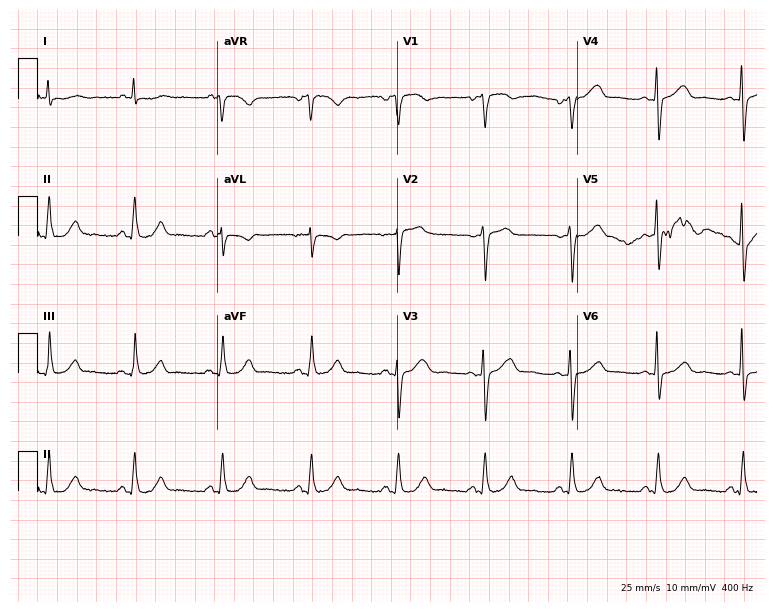
12-lead ECG from a 61-year-old female. No first-degree AV block, right bundle branch block, left bundle branch block, sinus bradycardia, atrial fibrillation or sinus tachycardia recorded for this tracing.